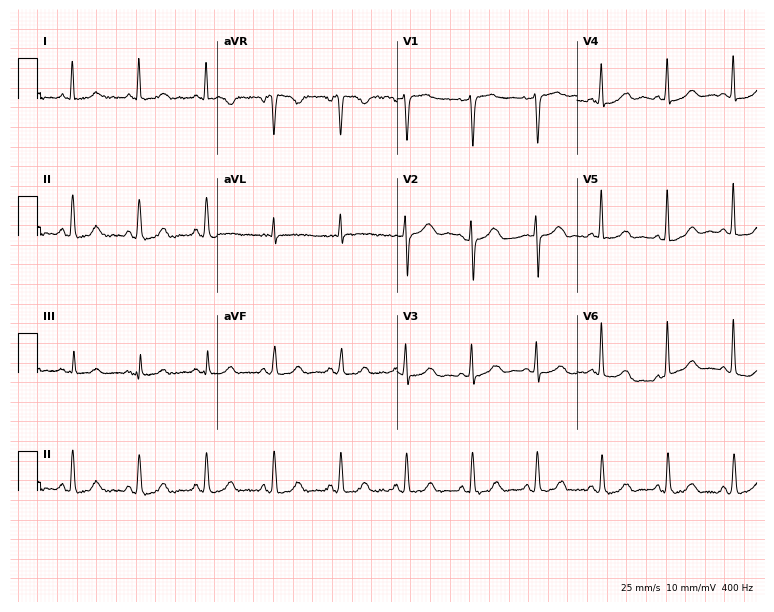
Standard 12-lead ECG recorded from a male, 81 years old. None of these six findings is recorded: first-degree AV block, right bundle branch block, left bundle branch block, sinus bradycardia, atrial fibrillation, sinus tachycardia. Only these six findings were labelled.